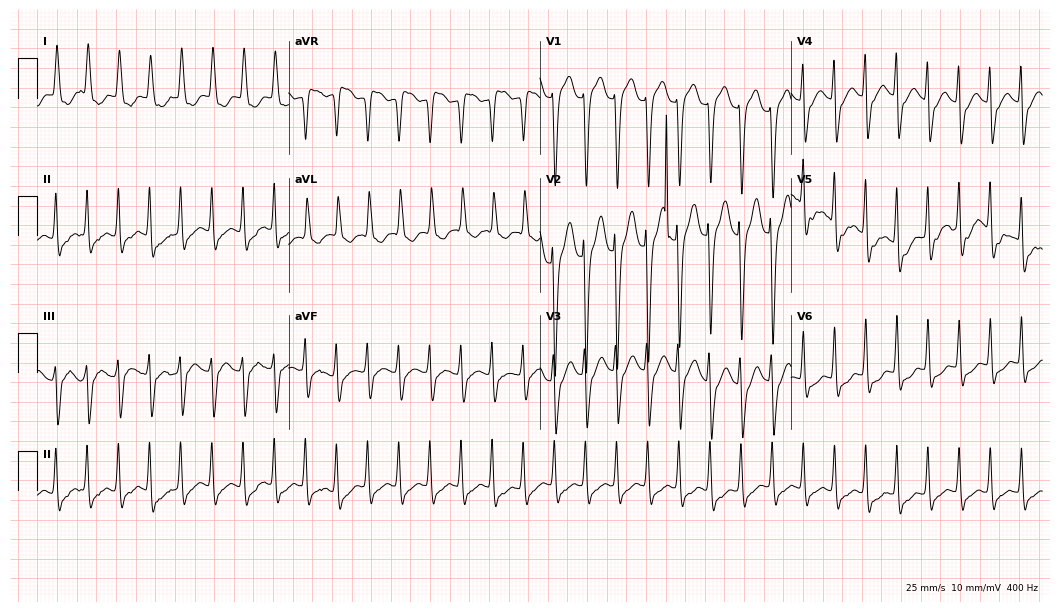
Electrocardiogram (10.2-second recording at 400 Hz), a female, 66 years old. Interpretation includes atrial fibrillation (AF), sinus tachycardia (a sinus rate of 100 beats per minute or more).